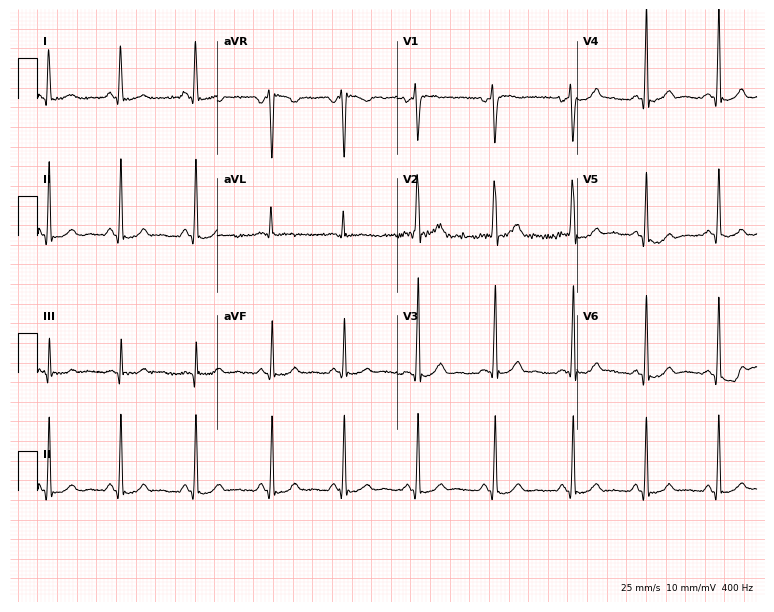
Resting 12-lead electrocardiogram. Patient: a female, 19 years old. None of these six findings is recorded: first-degree AV block, right bundle branch block, left bundle branch block, sinus bradycardia, atrial fibrillation, sinus tachycardia.